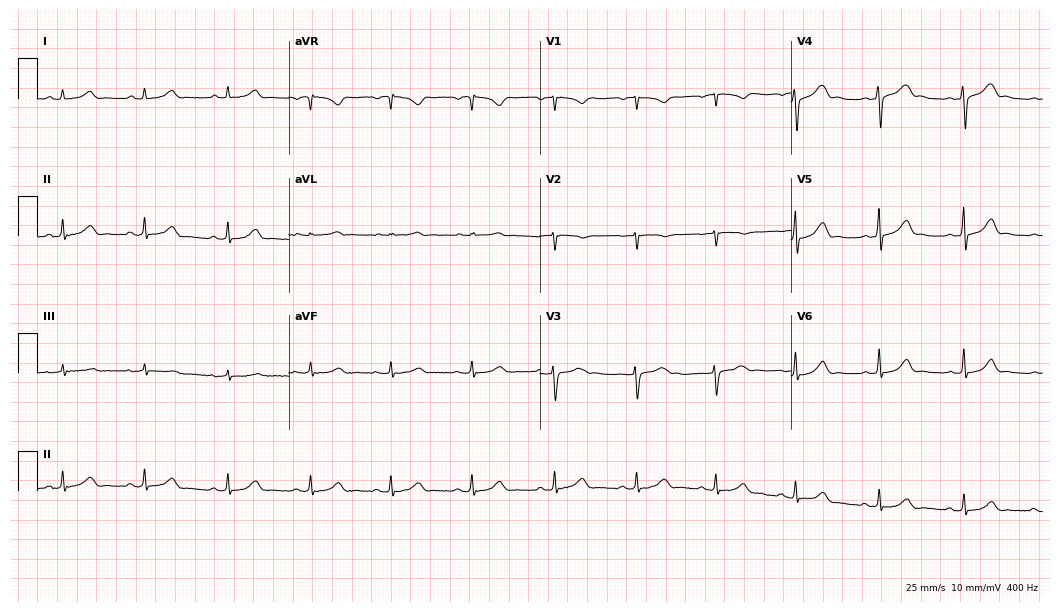
12-lead ECG from a female patient, 33 years old (10.2-second recording at 400 Hz). Recorded interpretation: within normal limits.